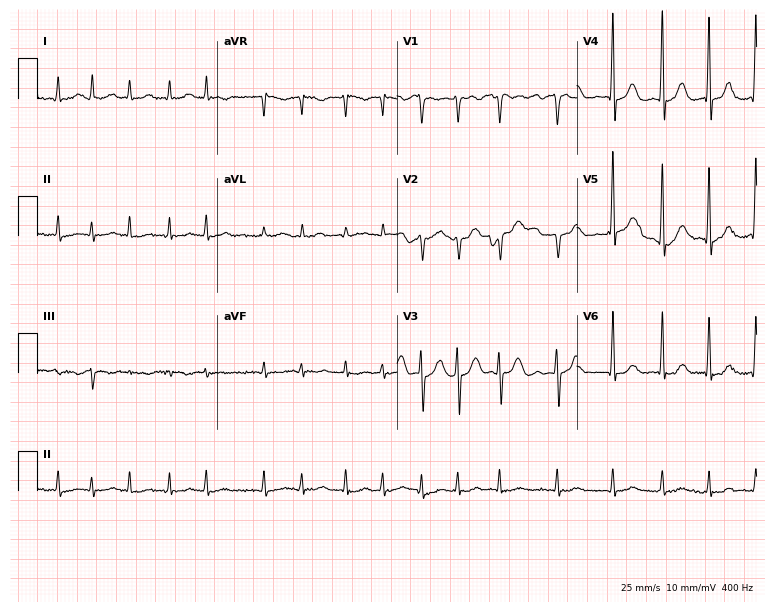
Resting 12-lead electrocardiogram. Patient: a male, 81 years old. The tracing shows atrial fibrillation (AF).